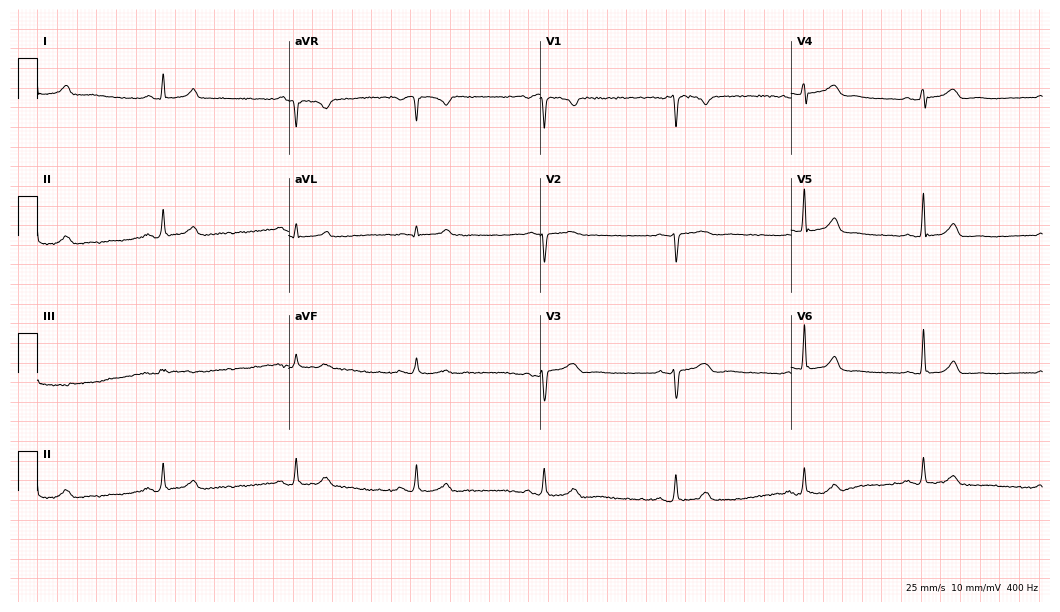
12-lead ECG from a 40-year-old female. Screened for six findings — first-degree AV block, right bundle branch block (RBBB), left bundle branch block (LBBB), sinus bradycardia, atrial fibrillation (AF), sinus tachycardia — none is recorded. Findings outside these six are not listed.